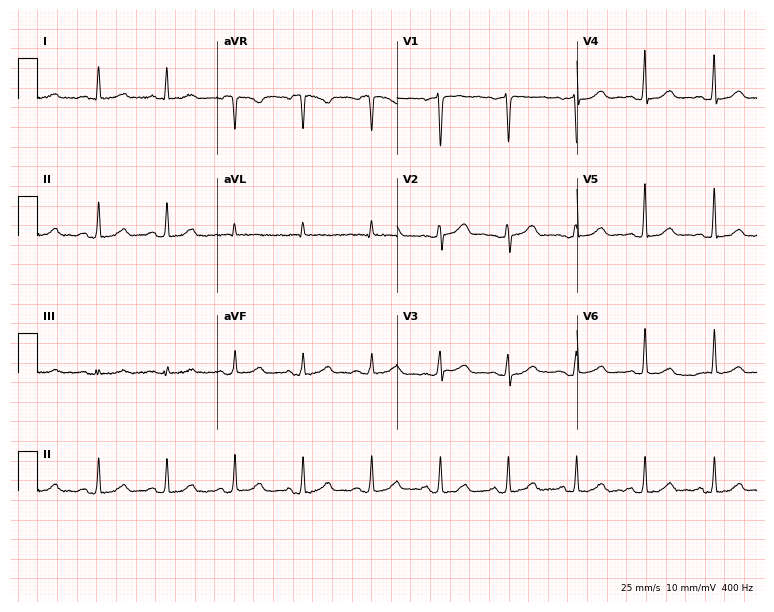
ECG — a 53-year-old female. Labelled as a normal ECG.